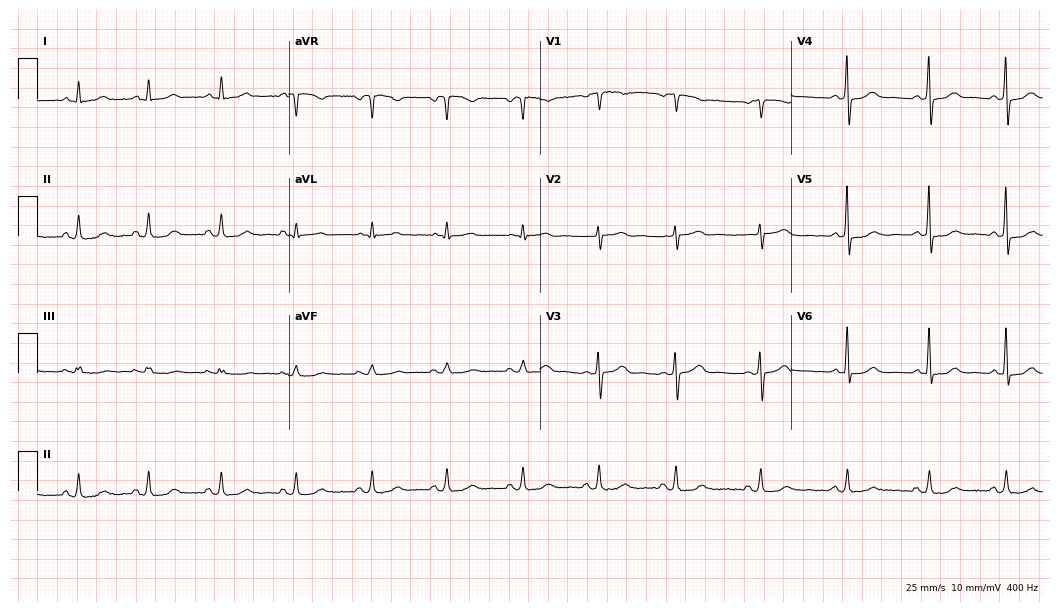
Standard 12-lead ECG recorded from a 55-year-old woman. Read as a normal ECG.